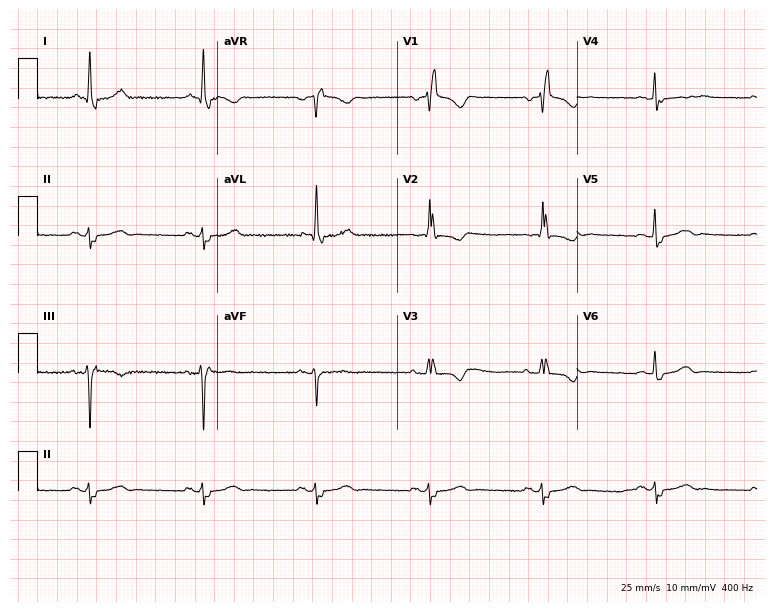
Resting 12-lead electrocardiogram (7.3-second recording at 400 Hz). Patient: a male, 73 years old. None of these six findings is recorded: first-degree AV block, right bundle branch block, left bundle branch block, sinus bradycardia, atrial fibrillation, sinus tachycardia.